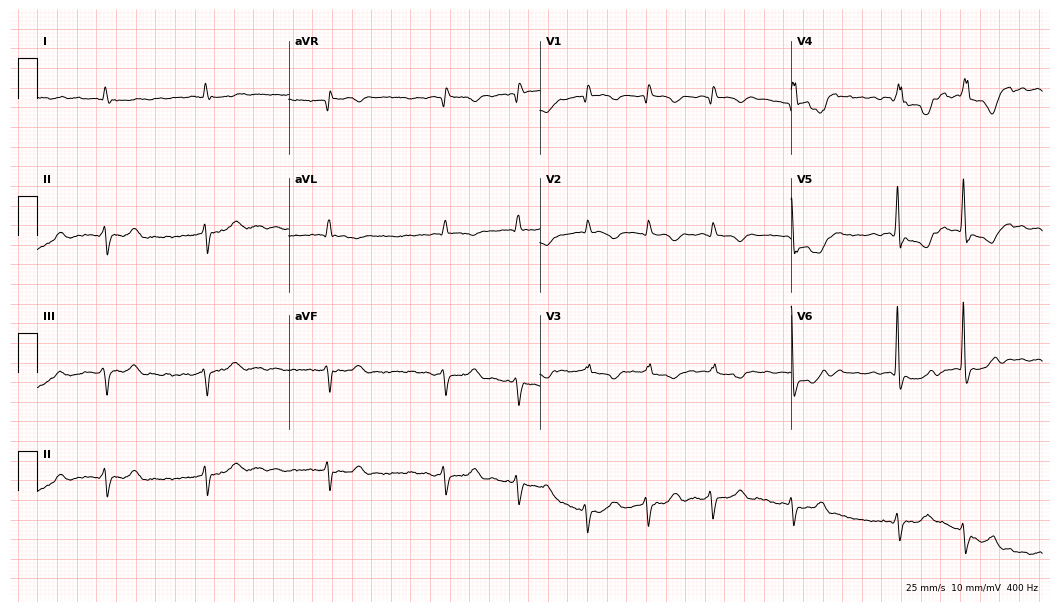
12-lead ECG (10.2-second recording at 400 Hz) from a female patient, 84 years old. Findings include atrial fibrillation.